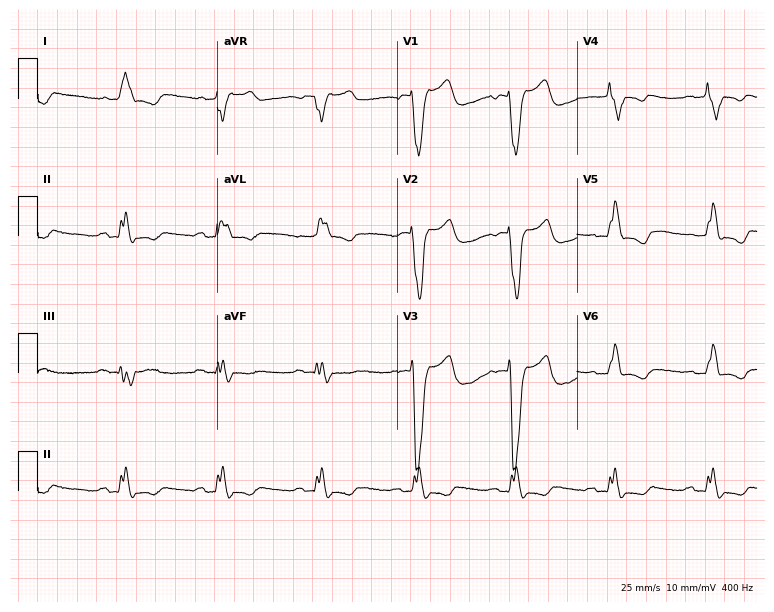
12-lead ECG (7.3-second recording at 400 Hz) from a male patient, 71 years old. Findings include left bundle branch block.